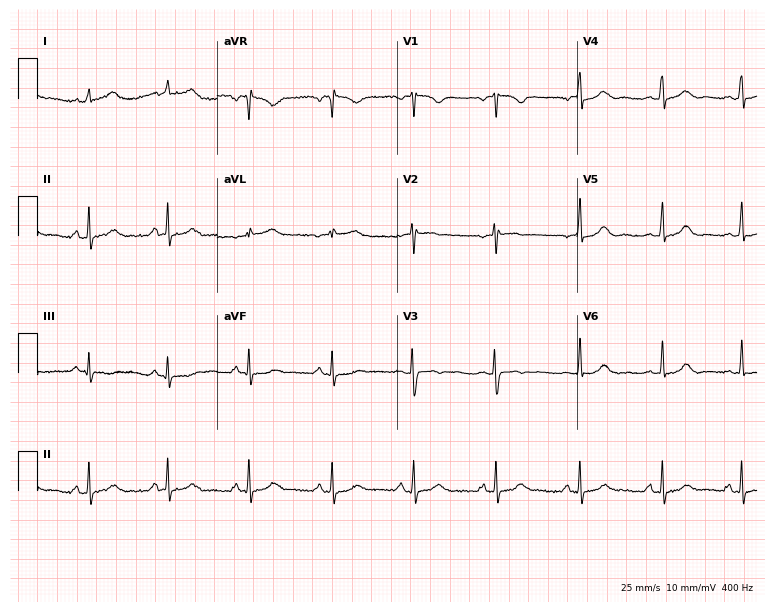
12-lead ECG from a female, 36 years old. Labelled as a normal ECG.